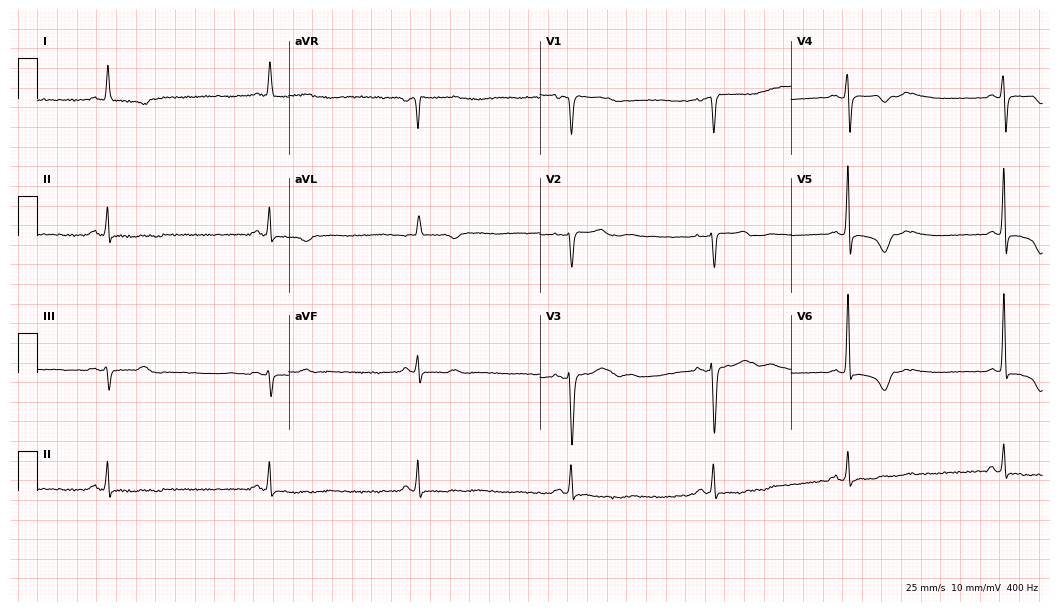
Standard 12-lead ECG recorded from a female patient, 78 years old. The tracing shows sinus bradycardia (a sinus rate of 50 beats per minute or less).